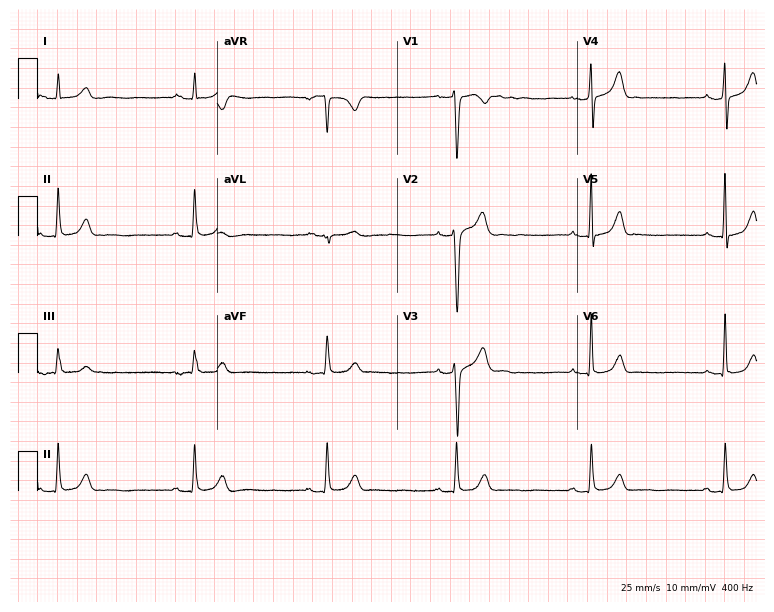
Electrocardiogram (7.3-second recording at 400 Hz), a male patient, 27 years old. Of the six screened findings (first-degree AV block, right bundle branch block, left bundle branch block, sinus bradycardia, atrial fibrillation, sinus tachycardia), none is recorded. Only these six findings were labelled.